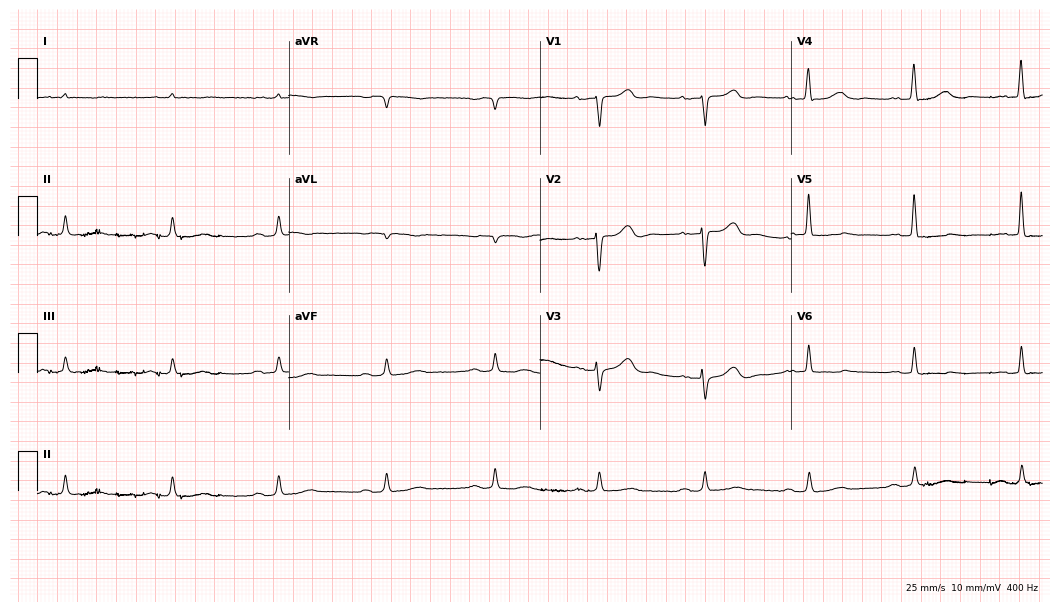
Electrocardiogram, a woman, 46 years old. Interpretation includes first-degree AV block.